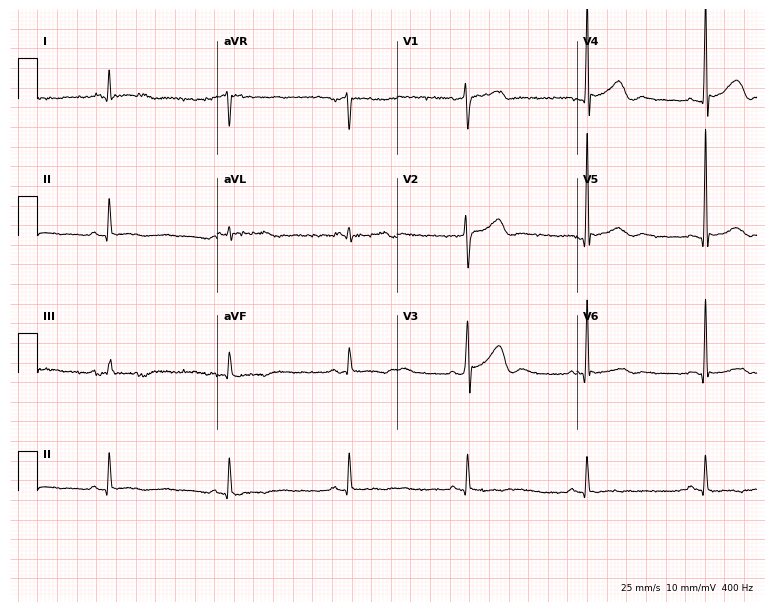
12-lead ECG from a man, 54 years old. Screened for six findings — first-degree AV block, right bundle branch block, left bundle branch block, sinus bradycardia, atrial fibrillation, sinus tachycardia — none is recorded. Only these six findings were labelled.